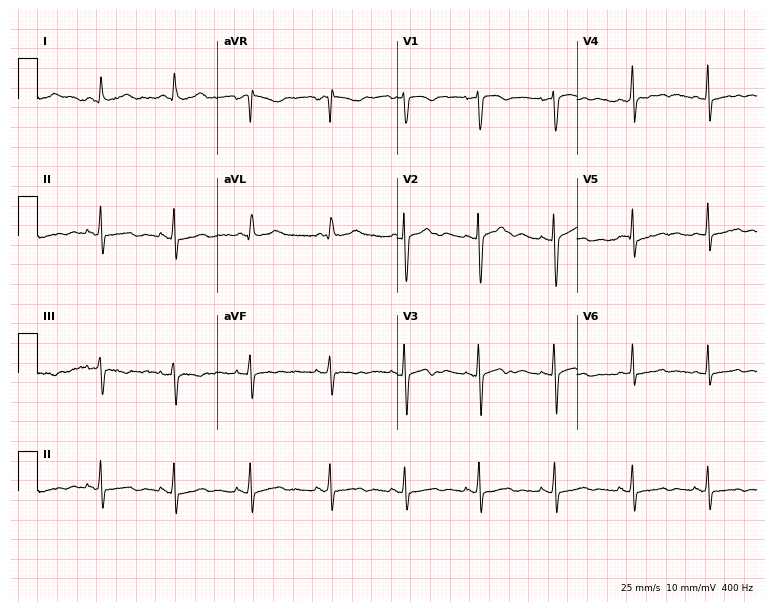
Standard 12-lead ECG recorded from a female, 32 years old (7.3-second recording at 400 Hz). Read as a normal ECG.